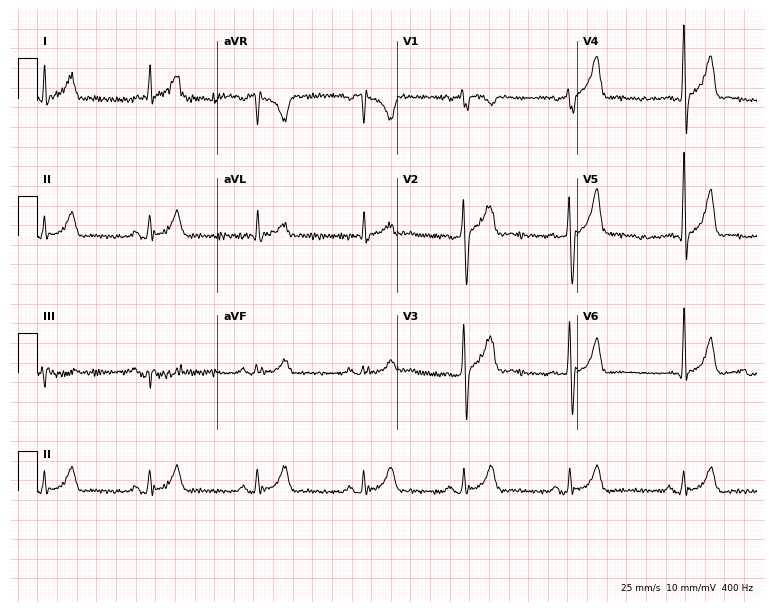
Standard 12-lead ECG recorded from a man, 44 years old (7.3-second recording at 400 Hz). Read as a normal ECG.